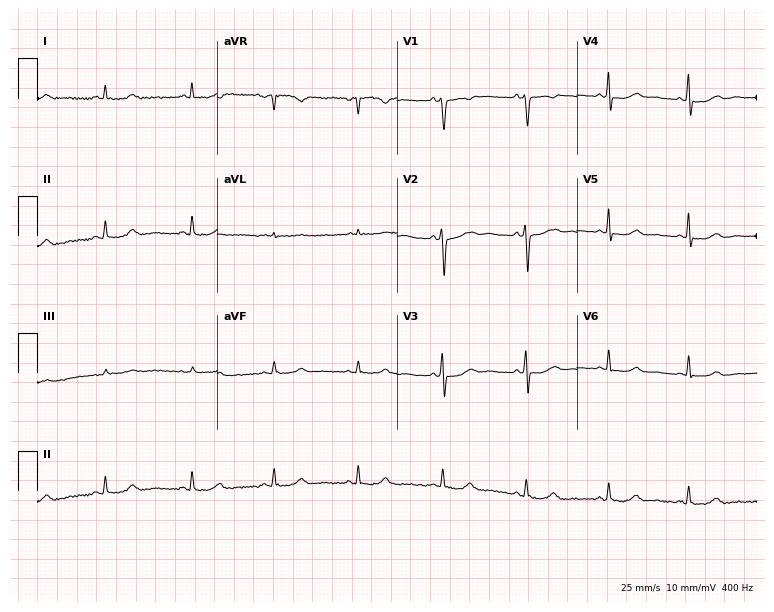
Electrocardiogram (7.3-second recording at 400 Hz), a female patient, 51 years old. Of the six screened findings (first-degree AV block, right bundle branch block, left bundle branch block, sinus bradycardia, atrial fibrillation, sinus tachycardia), none is recorded. Other findings, if any, are not listed.